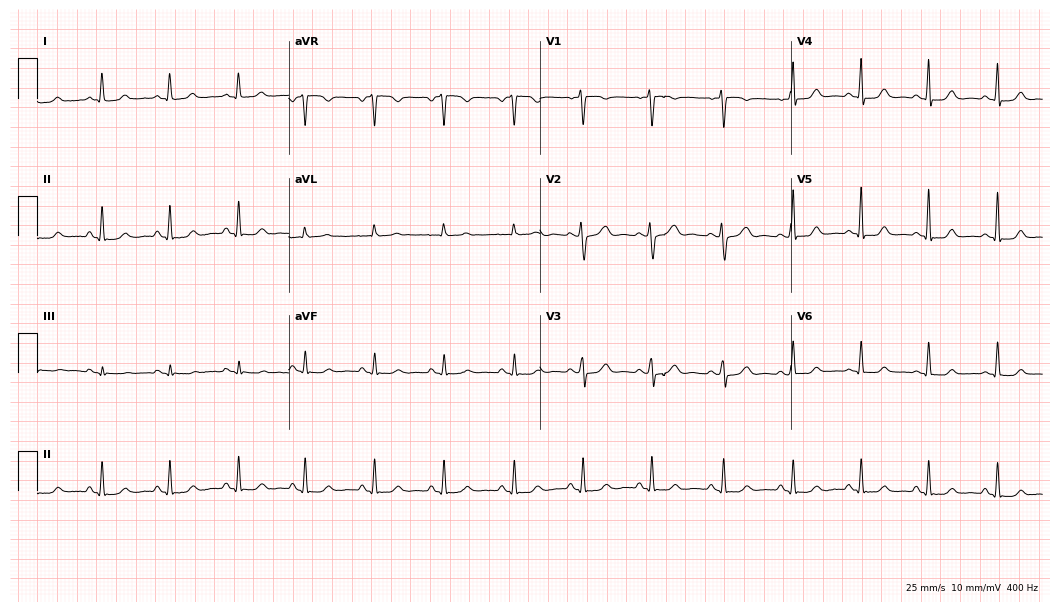
Electrocardiogram (10.2-second recording at 400 Hz), a woman, 33 years old. Overall reading on record: normal ECG.